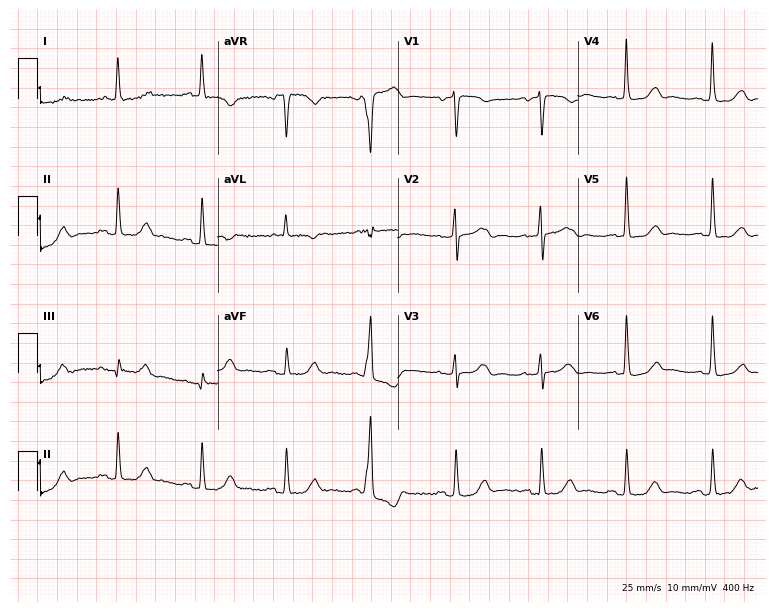
12-lead ECG (7.3-second recording at 400 Hz) from a woman, 78 years old. Screened for six findings — first-degree AV block, right bundle branch block (RBBB), left bundle branch block (LBBB), sinus bradycardia, atrial fibrillation (AF), sinus tachycardia — none is recorded. Findings outside these six are not listed.